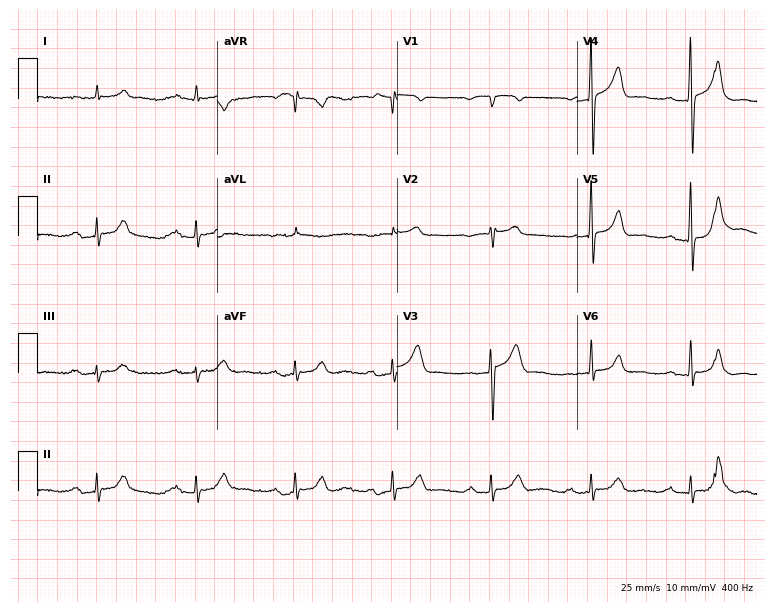
12-lead ECG (7.3-second recording at 400 Hz) from a male patient, 76 years old. Screened for six findings — first-degree AV block, right bundle branch block, left bundle branch block, sinus bradycardia, atrial fibrillation, sinus tachycardia — none is recorded. Other findings, if any, are not listed.